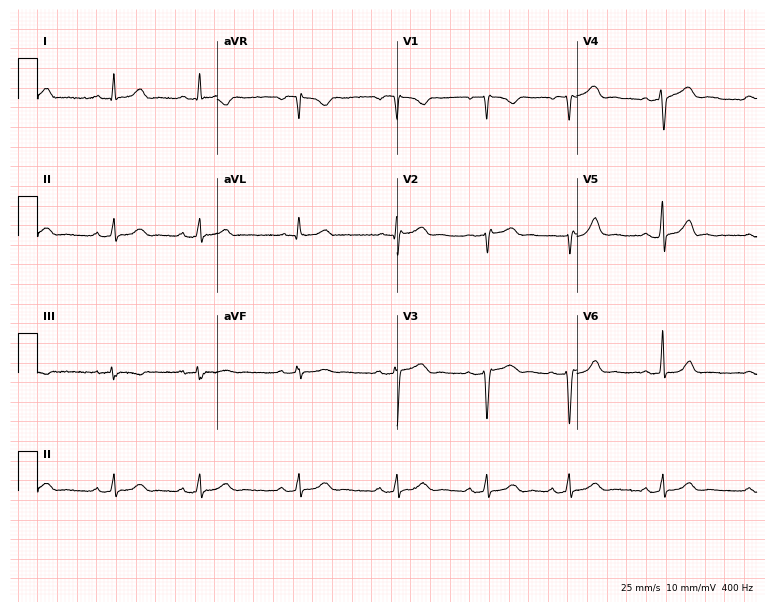
ECG — a woman, 32 years old. Labelled as a normal ECG.